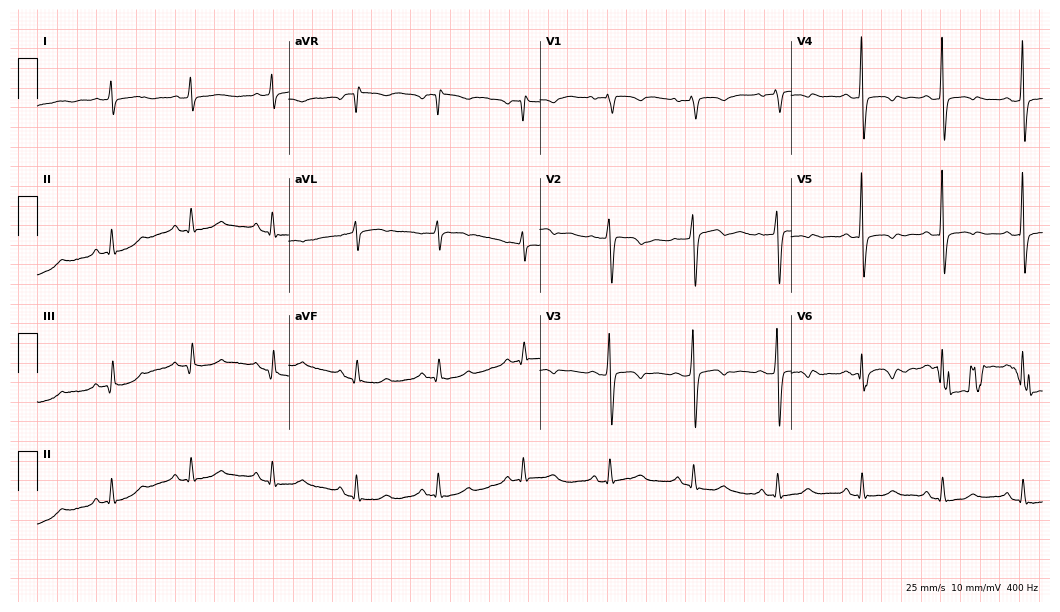
12-lead ECG from a 72-year-old woman (10.2-second recording at 400 Hz). No first-degree AV block, right bundle branch block, left bundle branch block, sinus bradycardia, atrial fibrillation or sinus tachycardia recorded for this tracing. Only these six findings were labelled.